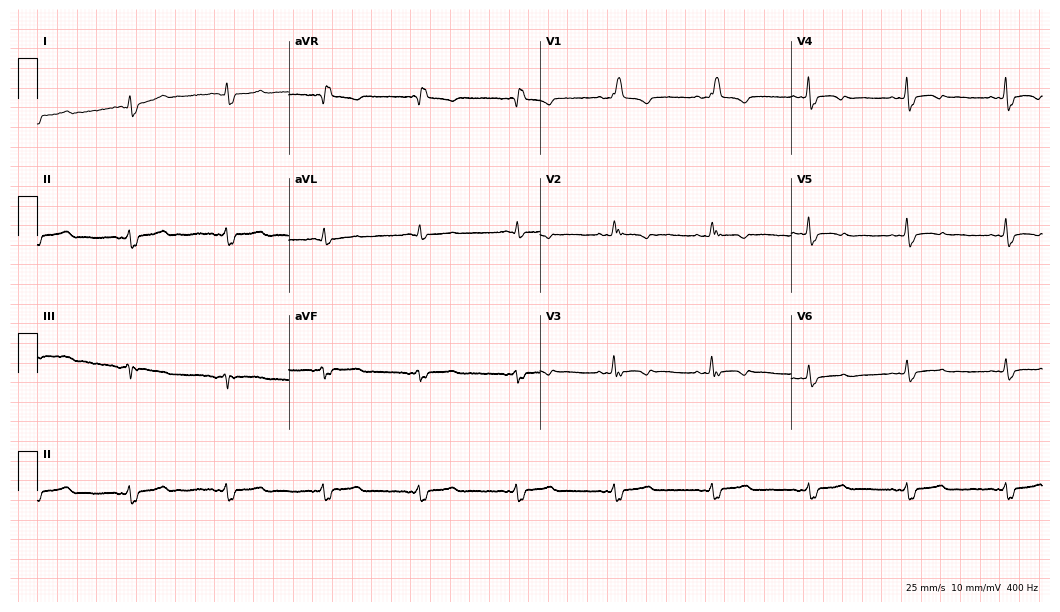
Electrocardiogram (10.2-second recording at 400 Hz), a female, 67 years old. Interpretation includes right bundle branch block (RBBB).